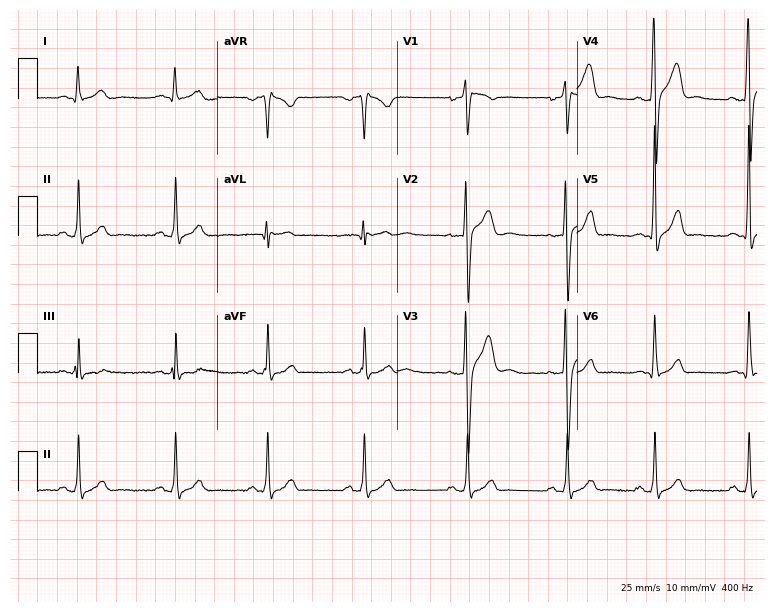
ECG — a 22-year-old man. Screened for six findings — first-degree AV block, right bundle branch block, left bundle branch block, sinus bradycardia, atrial fibrillation, sinus tachycardia — none is recorded.